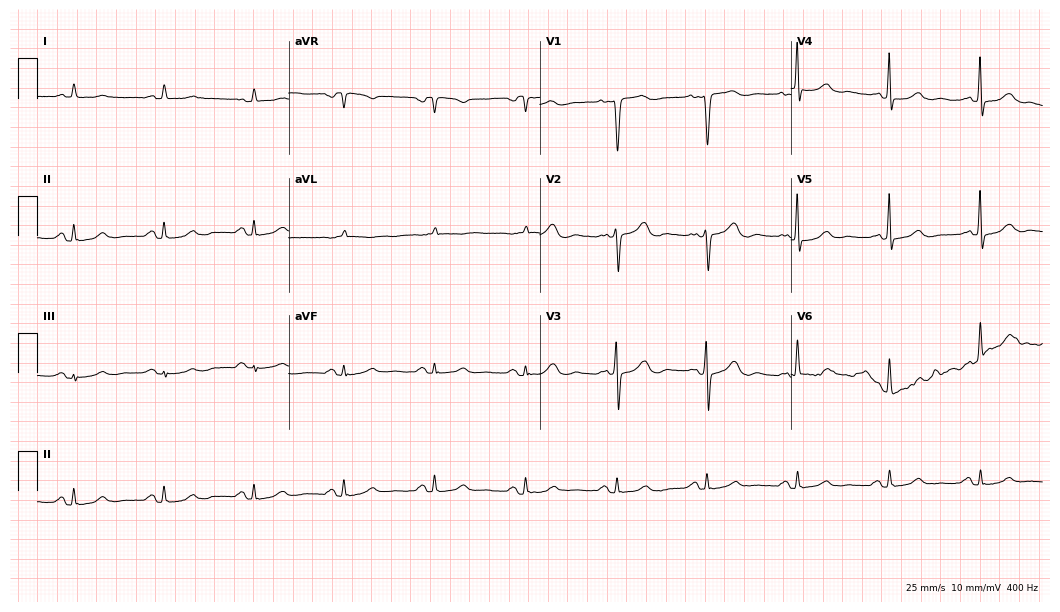
12-lead ECG from a 61-year-old woman (10.2-second recording at 400 Hz). No first-degree AV block, right bundle branch block, left bundle branch block, sinus bradycardia, atrial fibrillation or sinus tachycardia recorded for this tracing.